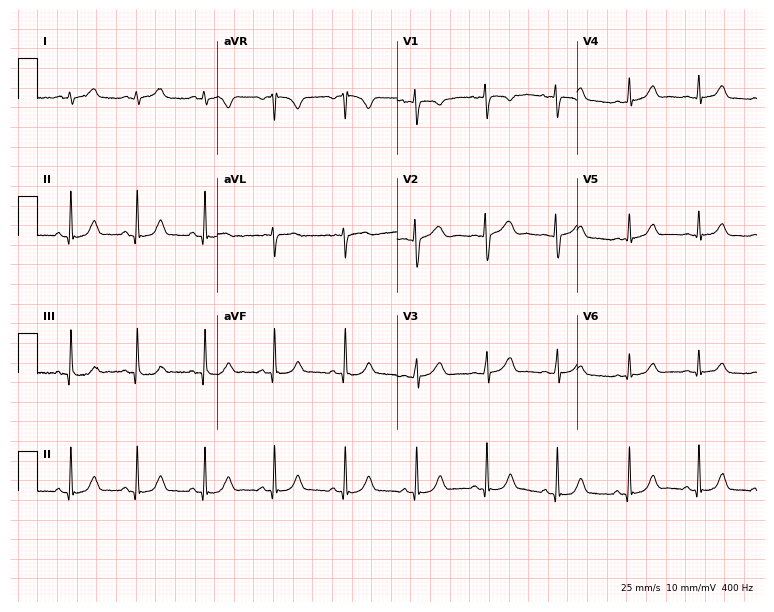
12-lead ECG from a 23-year-old female patient. Recorded interpretation: within normal limits.